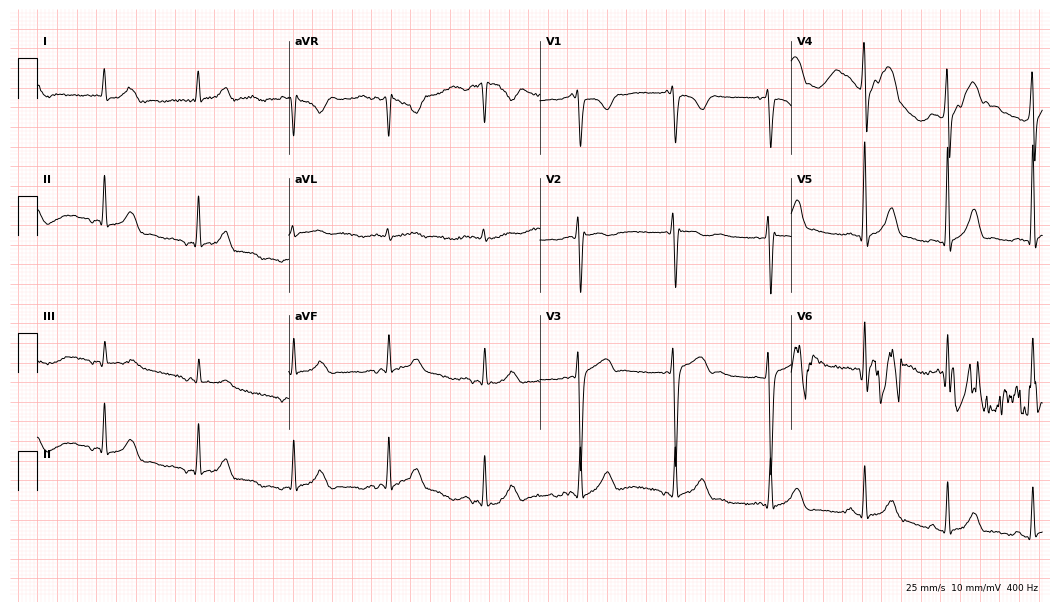
Resting 12-lead electrocardiogram (10.2-second recording at 400 Hz). Patient: a man, 20 years old. Read as a normal ECG.